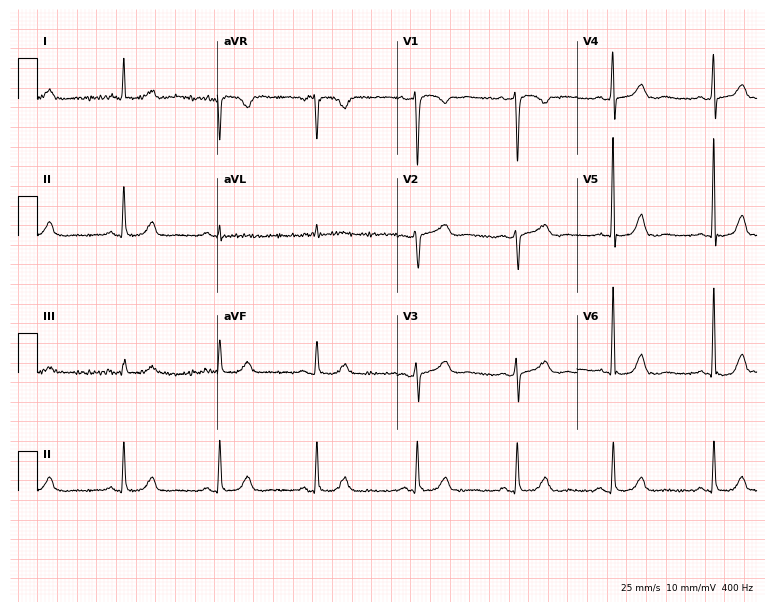
12-lead ECG from a 78-year-old female. Screened for six findings — first-degree AV block, right bundle branch block, left bundle branch block, sinus bradycardia, atrial fibrillation, sinus tachycardia — none is recorded. Other findings, if any, are not listed.